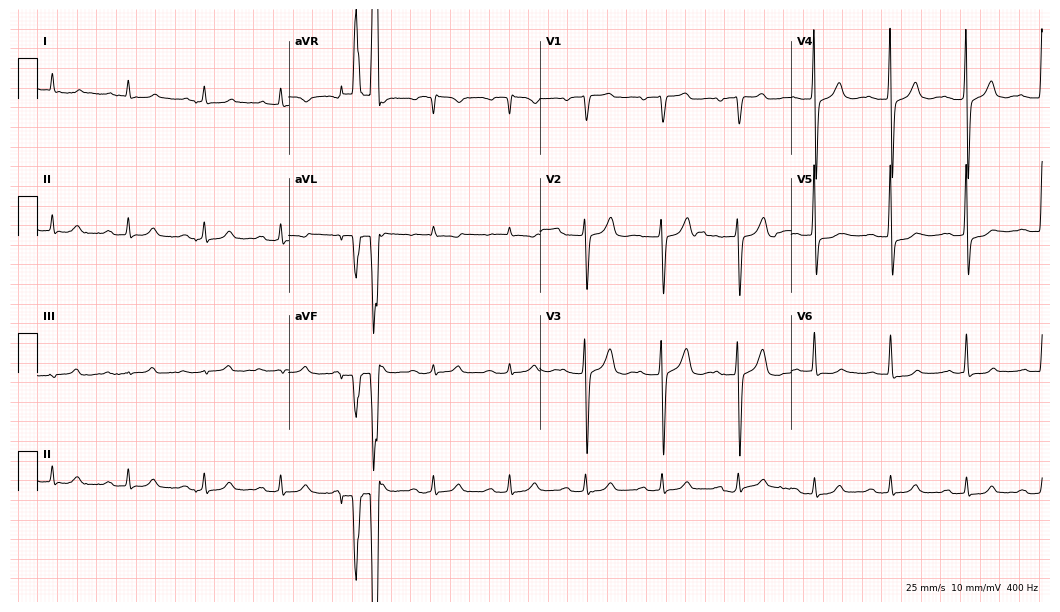
Standard 12-lead ECG recorded from an 85-year-old male. The tracing shows first-degree AV block.